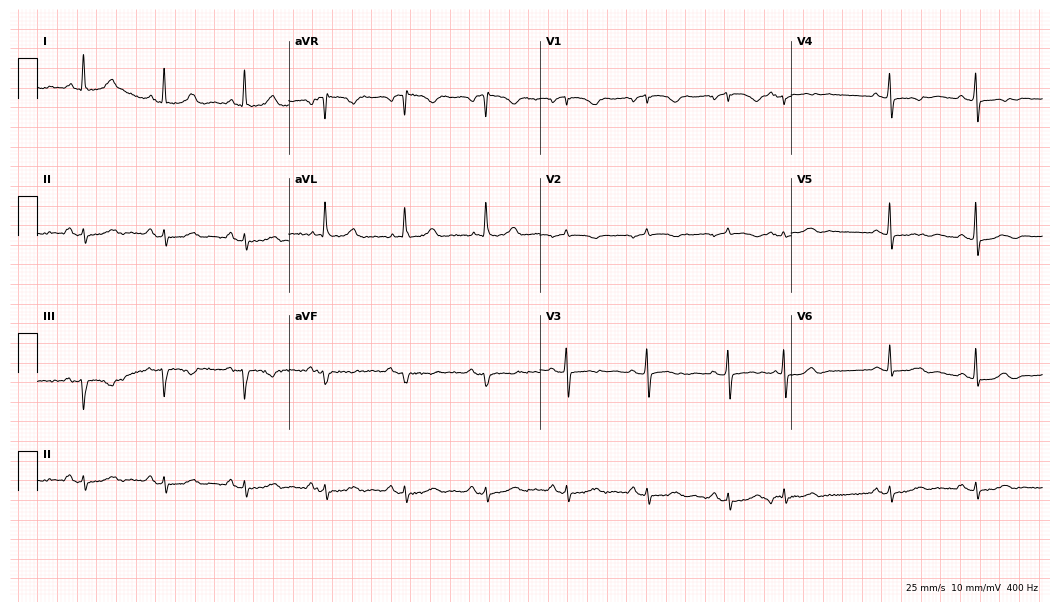
Standard 12-lead ECG recorded from a female, 70 years old (10.2-second recording at 400 Hz). None of these six findings is recorded: first-degree AV block, right bundle branch block, left bundle branch block, sinus bradycardia, atrial fibrillation, sinus tachycardia.